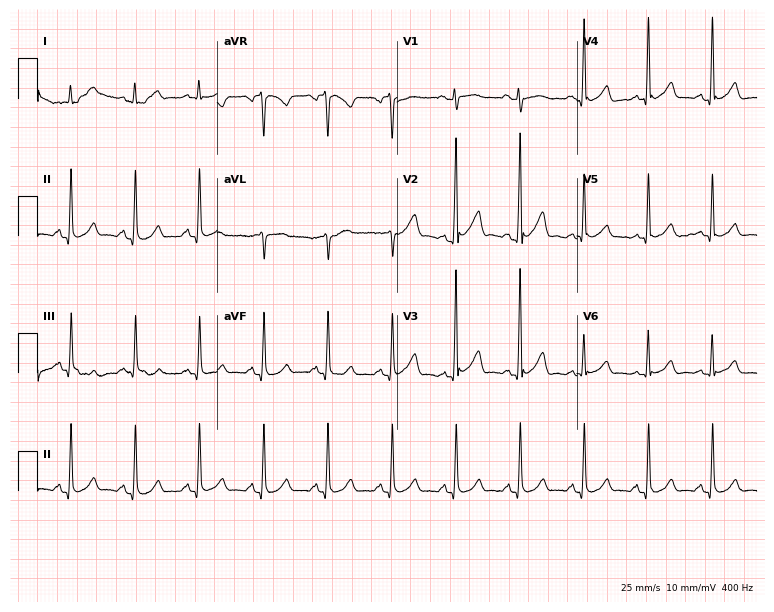
Electrocardiogram (7.3-second recording at 400 Hz), a male, 43 years old. Of the six screened findings (first-degree AV block, right bundle branch block, left bundle branch block, sinus bradycardia, atrial fibrillation, sinus tachycardia), none is recorded.